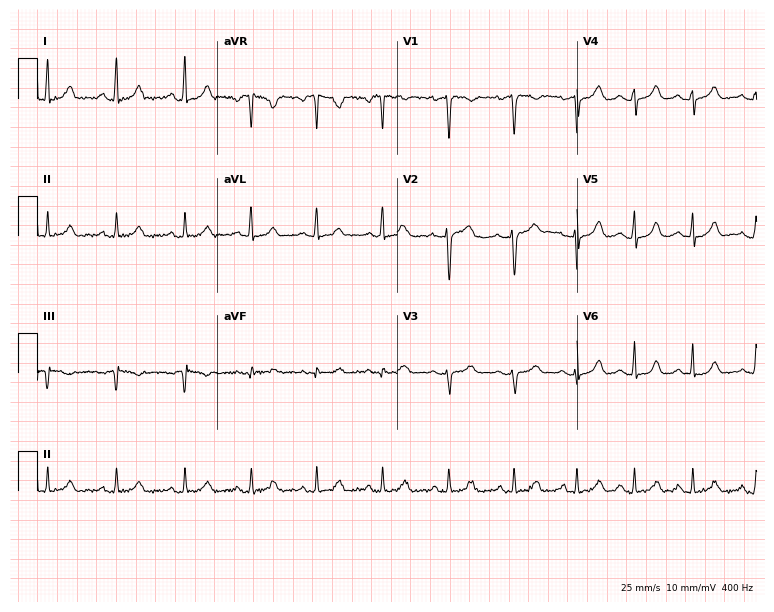
ECG (7.3-second recording at 400 Hz) — a 21-year-old female. Screened for six findings — first-degree AV block, right bundle branch block, left bundle branch block, sinus bradycardia, atrial fibrillation, sinus tachycardia — none is recorded.